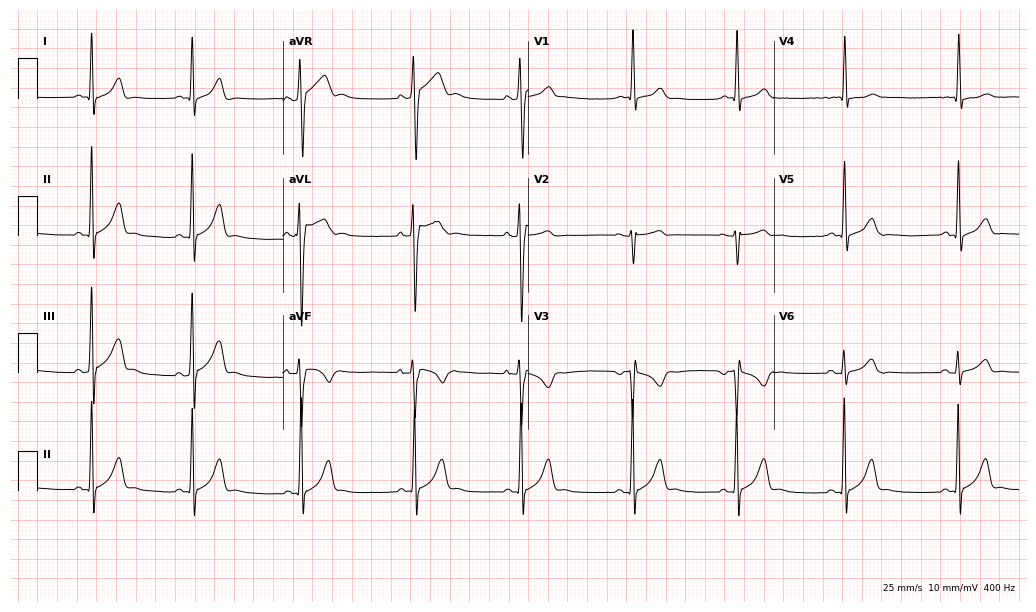
12-lead ECG from a male, 17 years old. Screened for six findings — first-degree AV block, right bundle branch block, left bundle branch block, sinus bradycardia, atrial fibrillation, sinus tachycardia — none is recorded.